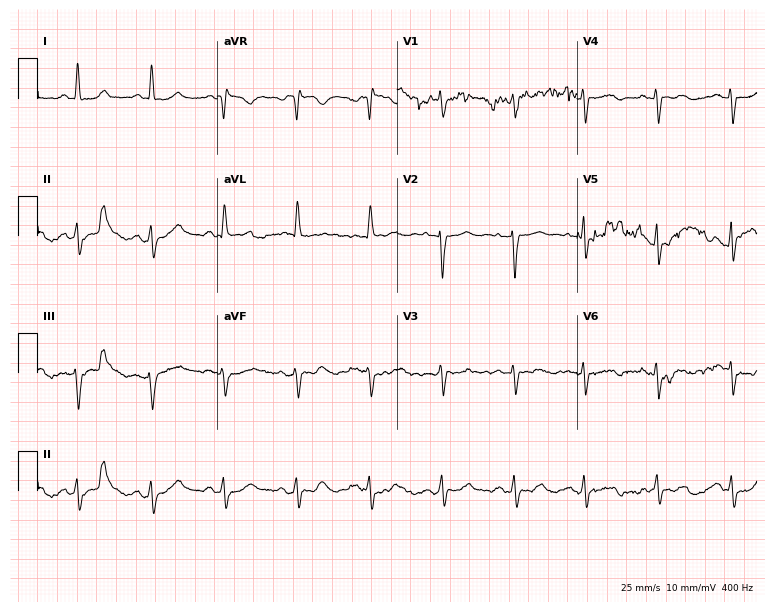
12-lead ECG (7.3-second recording at 400 Hz) from a female, 64 years old. Screened for six findings — first-degree AV block, right bundle branch block (RBBB), left bundle branch block (LBBB), sinus bradycardia, atrial fibrillation (AF), sinus tachycardia — none is recorded.